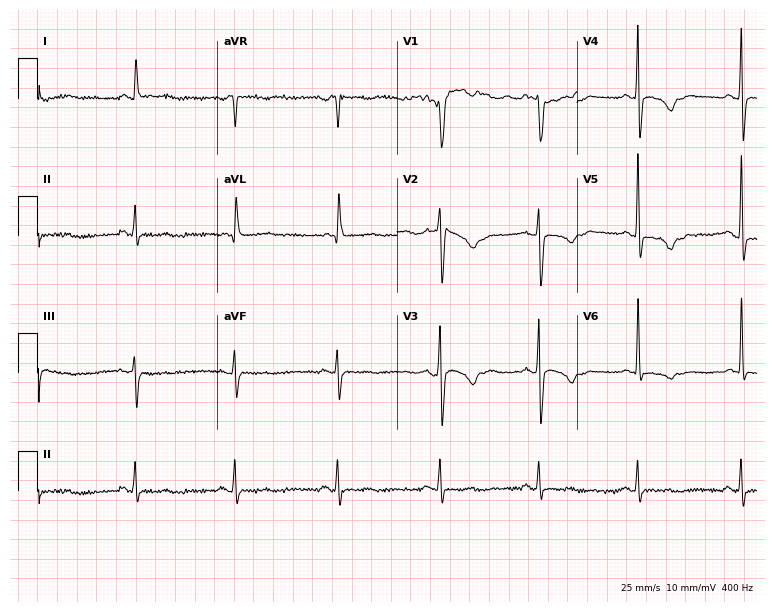
12-lead ECG (7.3-second recording at 400 Hz) from a female, 52 years old. Screened for six findings — first-degree AV block, right bundle branch block, left bundle branch block, sinus bradycardia, atrial fibrillation, sinus tachycardia — none is recorded. Other findings, if any, are not listed.